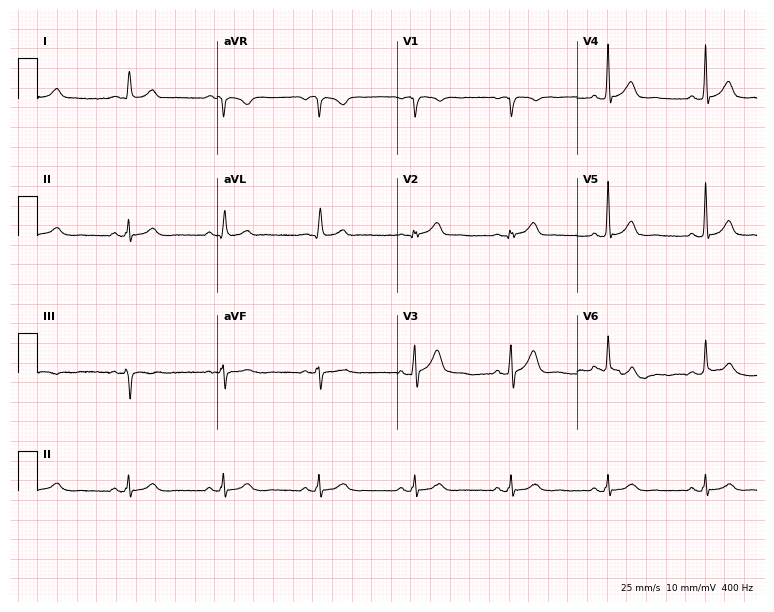
Standard 12-lead ECG recorded from a 76-year-old male patient. Read as a normal ECG.